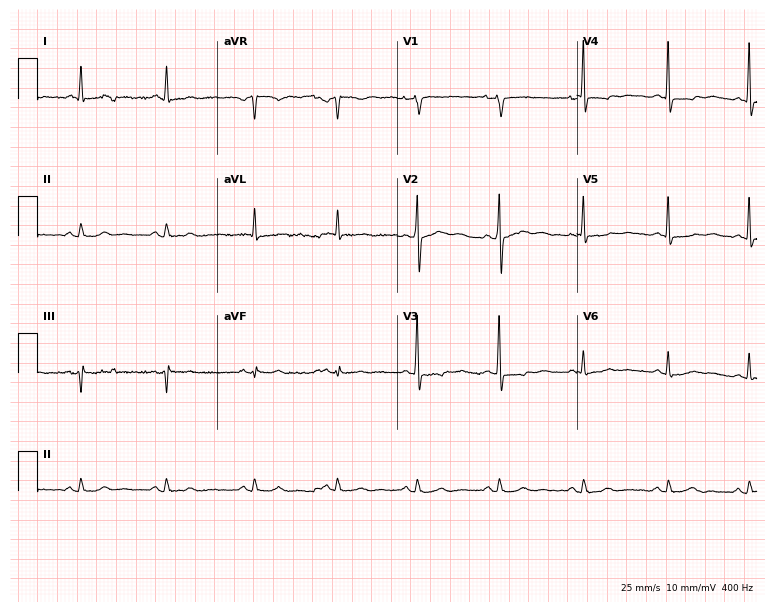
Resting 12-lead electrocardiogram. Patient: a 75-year-old male. Read as a normal ECG.